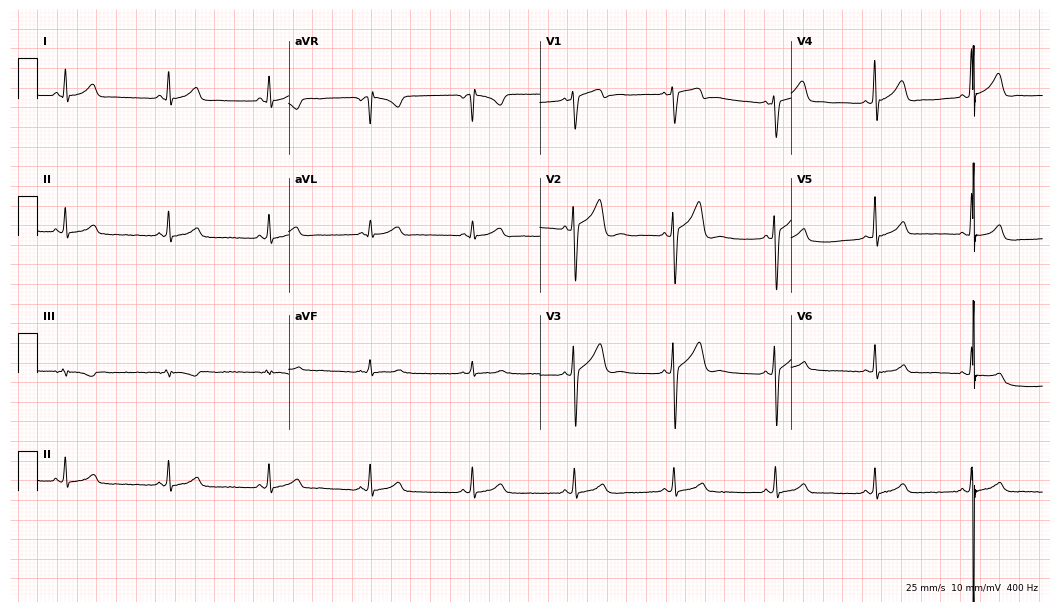
Resting 12-lead electrocardiogram (10.2-second recording at 400 Hz). Patient: a 20-year-old man. Read as a normal ECG.